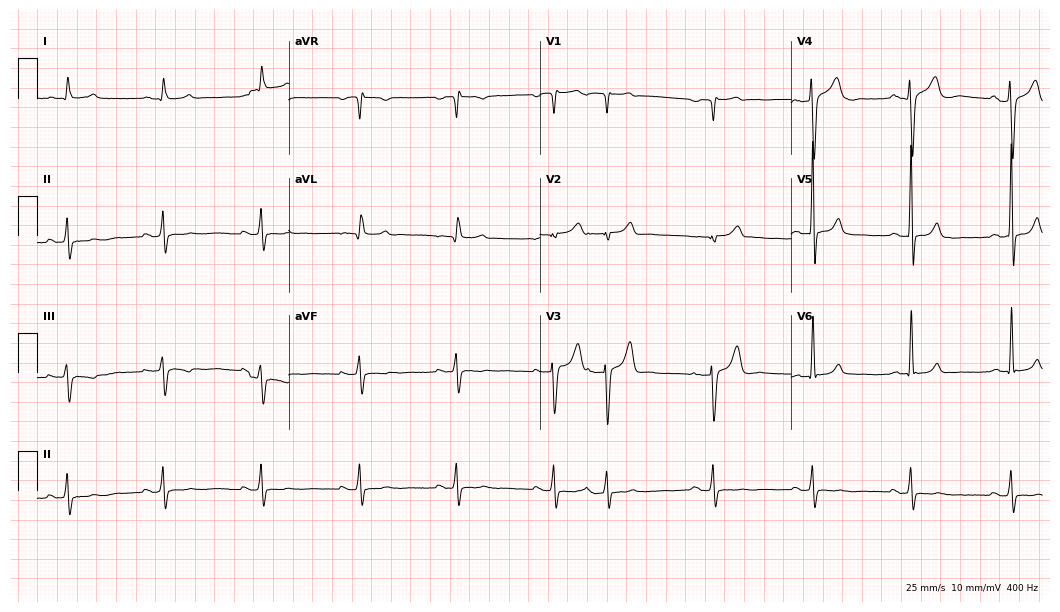
Resting 12-lead electrocardiogram (10.2-second recording at 400 Hz). Patient: a 61-year-old man. None of these six findings is recorded: first-degree AV block, right bundle branch block (RBBB), left bundle branch block (LBBB), sinus bradycardia, atrial fibrillation (AF), sinus tachycardia.